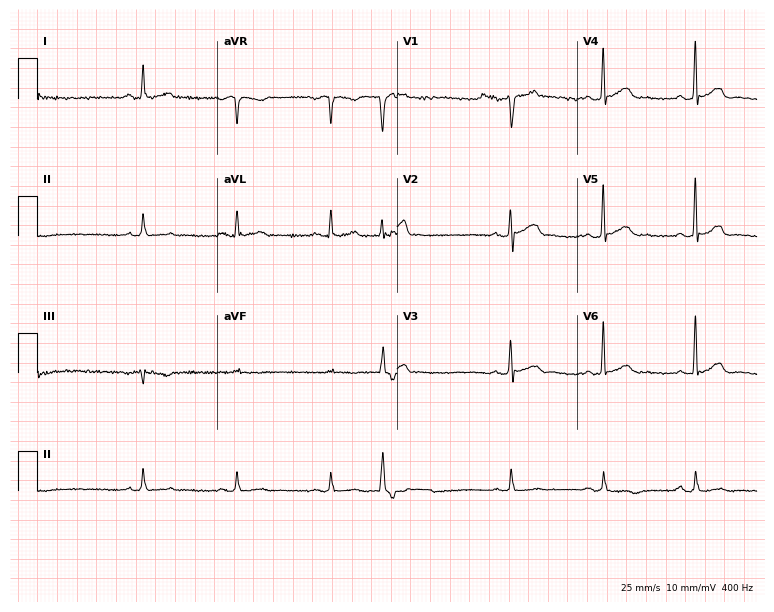
Standard 12-lead ECG recorded from a 64-year-old male patient (7.3-second recording at 400 Hz). None of these six findings is recorded: first-degree AV block, right bundle branch block, left bundle branch block, sinus bradycardia, atrial fibrillation, sinus tachycardia.